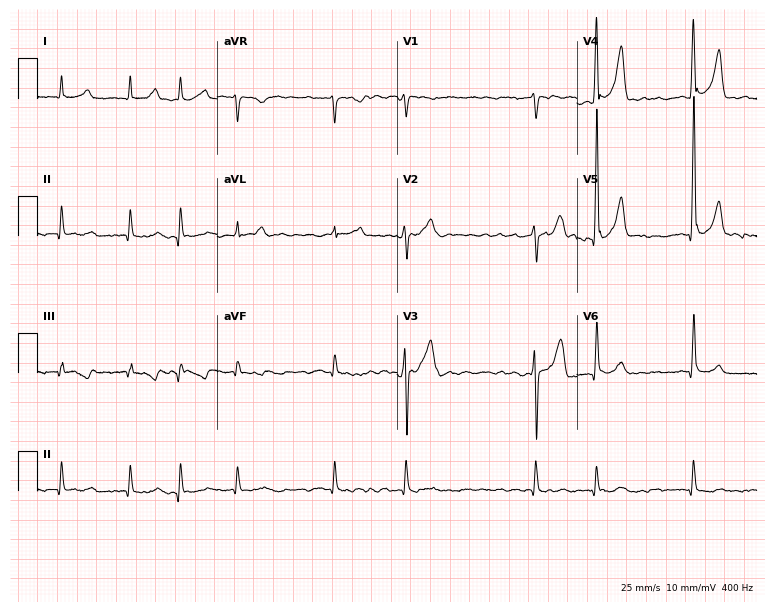
Resting 12-lead electrocardiogram (7.3-second recording at 400 Hz). Patient: a man, 84 years old. The tracing shows atrial fibrillation (AF).